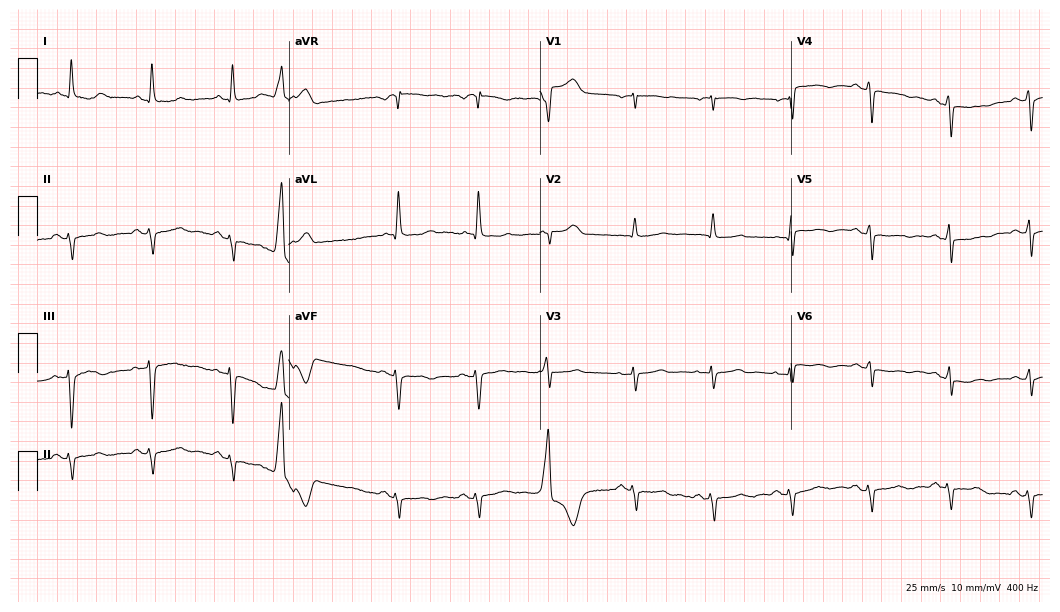
12-lead ECG from a woman, 83 years old. Screened for six findings — first-degree AV block, right bundle branch block, left bundle branch block, sinus bradycardia, atrial fibrillation, sinus tachycardia — none is recorded.